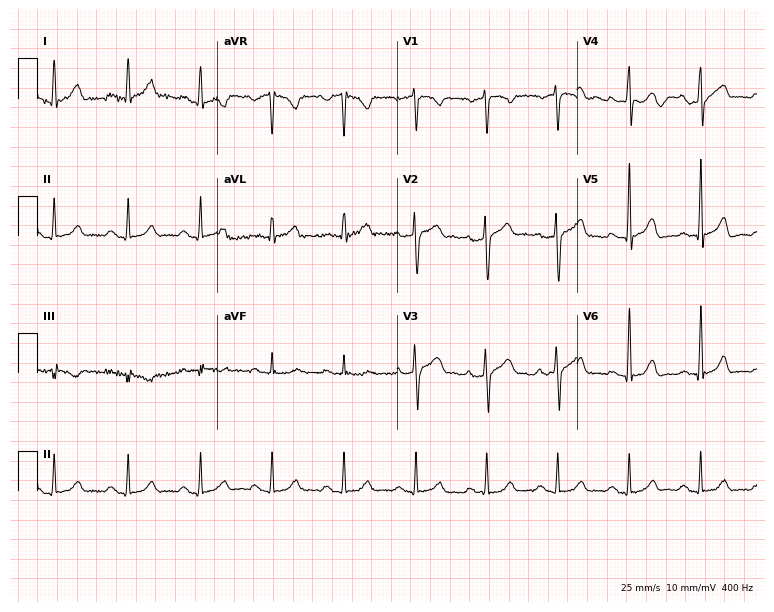
Standard 12-lead ECG recorded from a 45-year-old male. Read as a normal ECG.